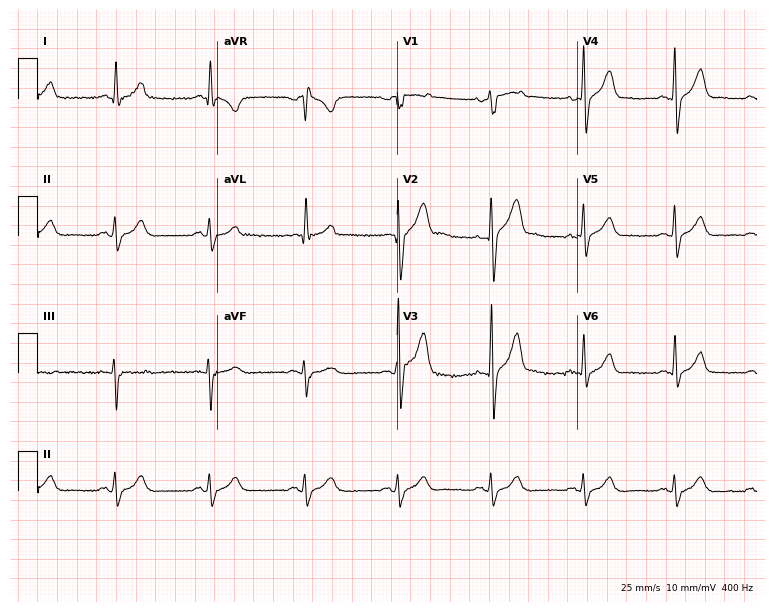
12-lead ECG from a male, 42 years old. Recorded interpretation: within normal limits.